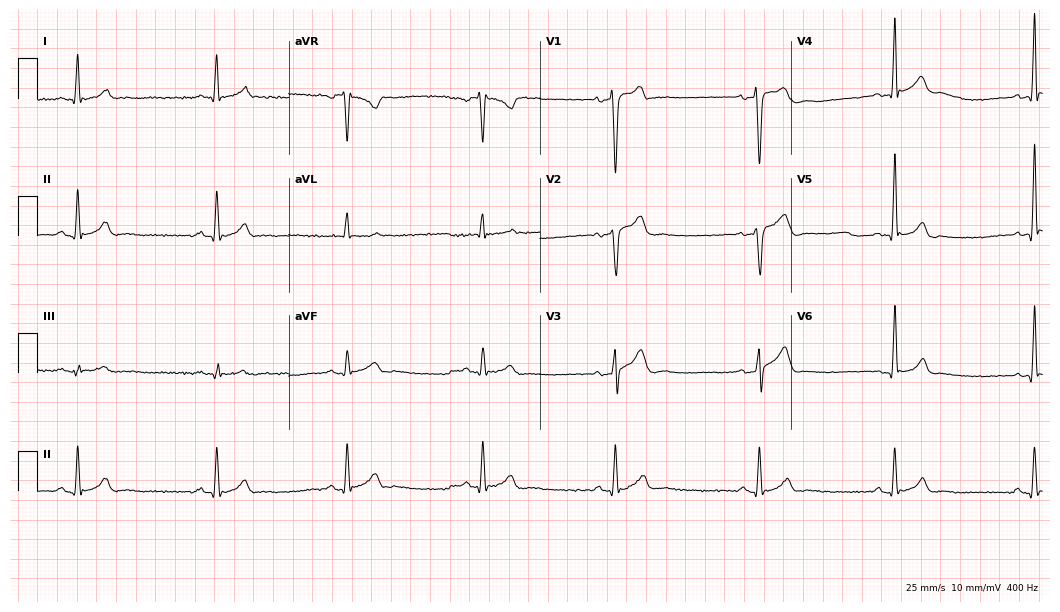
12-lead ECG from a 26-year-old man. Shows sinus bradycardia (a sinus rate of 50 beats per minute or less).